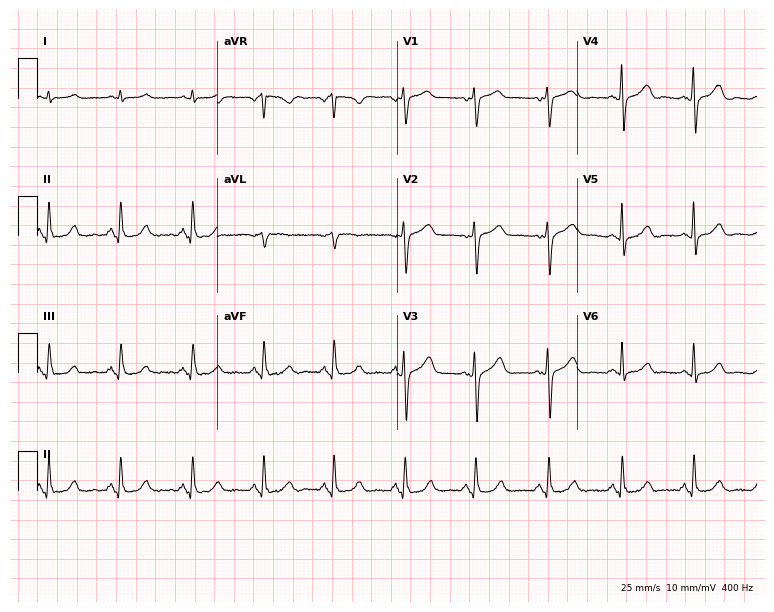
Electrocardiogram, a 59-year-old woman. Of the six screened findings (first-degree AV block, right bundle branch block (RBBB), left bundle branch block (LBBB), sinus bradycardia, atrial fibrillation (AF), sinus tachycardia), none is recorded.